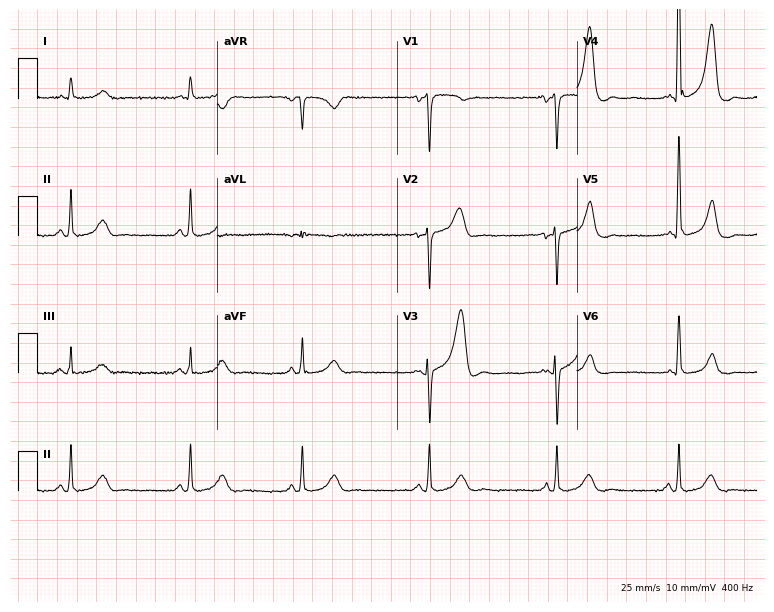
Resting 12-lead electrocardiogram. Patient: an 82-year-old man. None of these six findings is recorded: first-degree AV block, right bundle branch block (RBBB), left bundle branch block (LBBB), sinus bradycardia, atrial fibrillation (AF), sinus tachycardia.